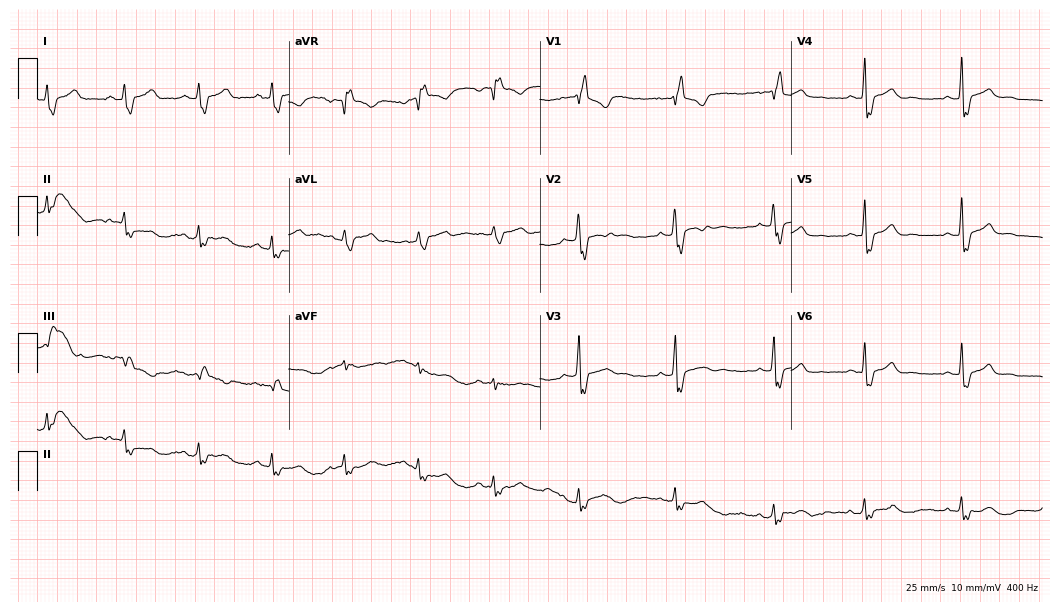
Resting 12-lead electrocardiogram (10.2-second recording at 400 Hz). Patient: a 31-year-old woman. The tracing shows right bundle branch block.